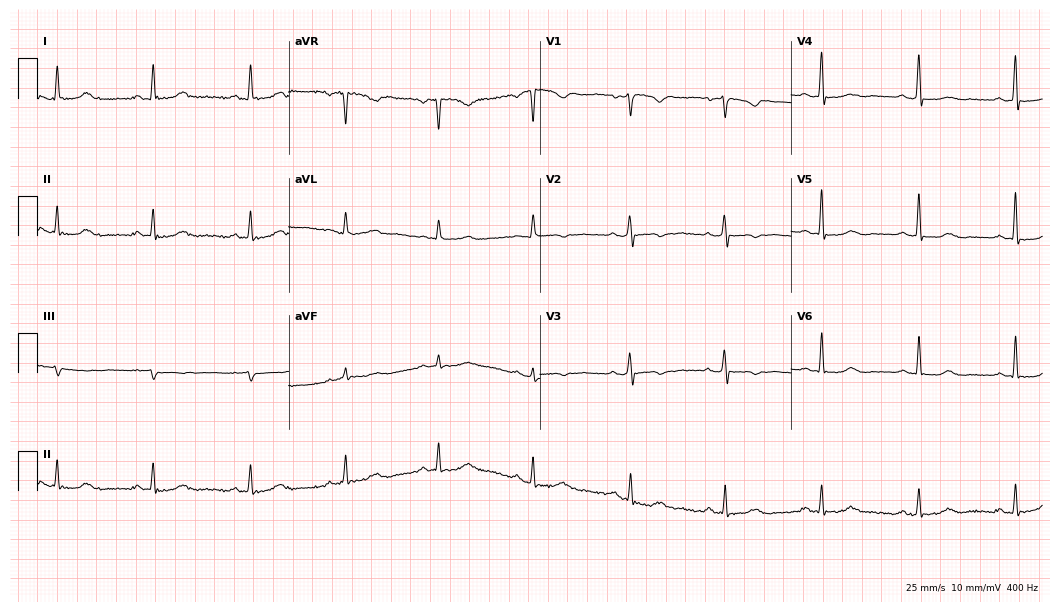
Resting 12-lead electrocardiogram (10.2-second recording at 400 Hz). Patient: a female, 62 years old. Read as a normal ECG.